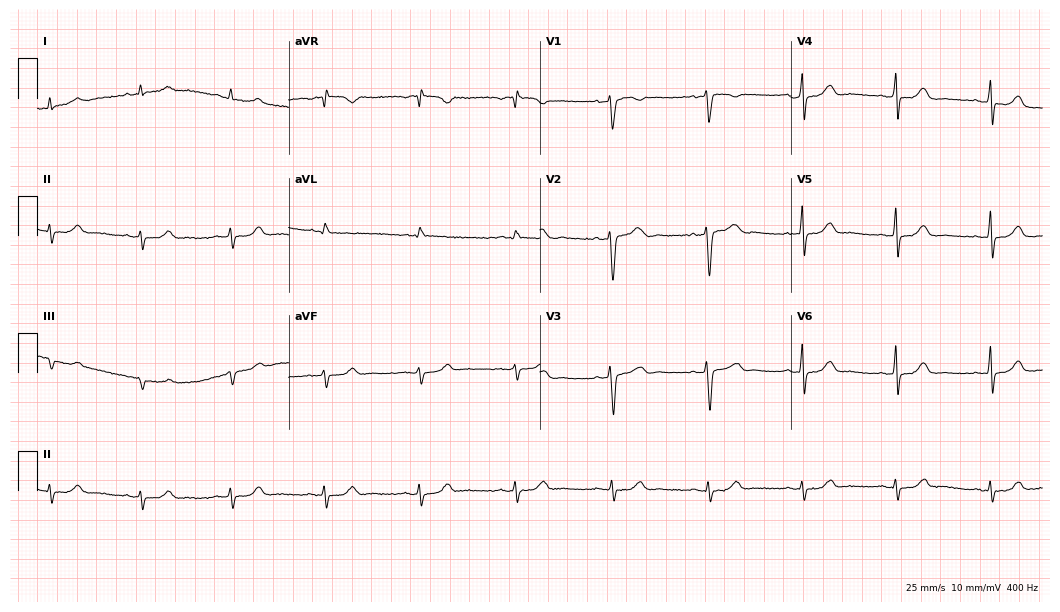
Electrocardiogram (10.2-second recording at 400 Hz), a woman, 48 years old. Of the six screened findings (first-degree AV block, right bundle branch block (RBBB), left bundle branch block (LBBB), sinus bradycardia, atrial fibrillation (AF), sinus tachycardia), none is recorded.